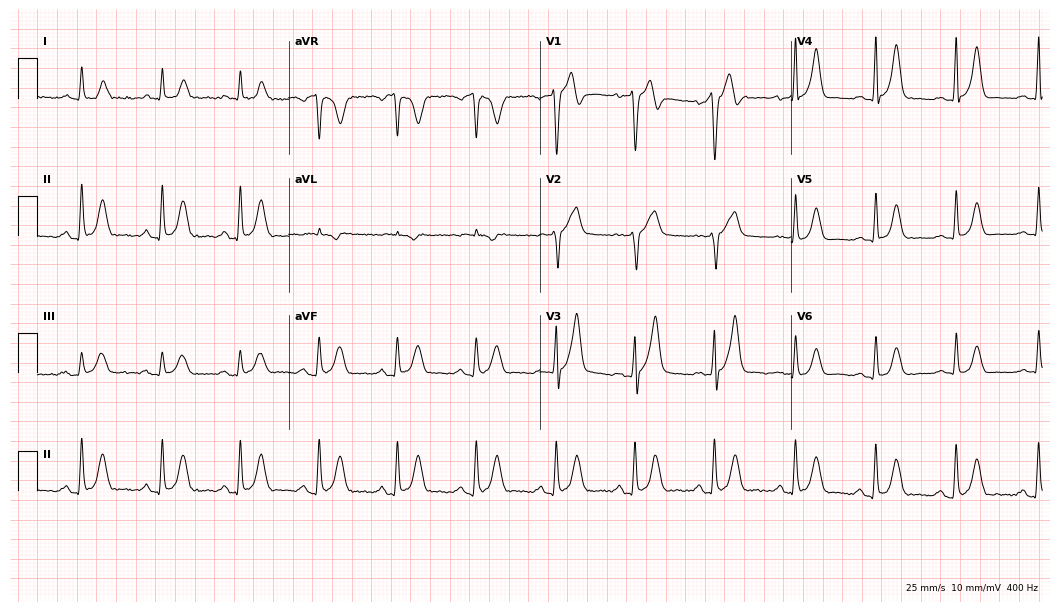
ECG — a male patient, 52 years old. Screened for six findings — first-degree AV block, right bundle branch block (RBBB), left bundle branch block (LBBB), sinus bradycardia, atrial fibrillation (AF), sinus tachycardia — none is recorded.